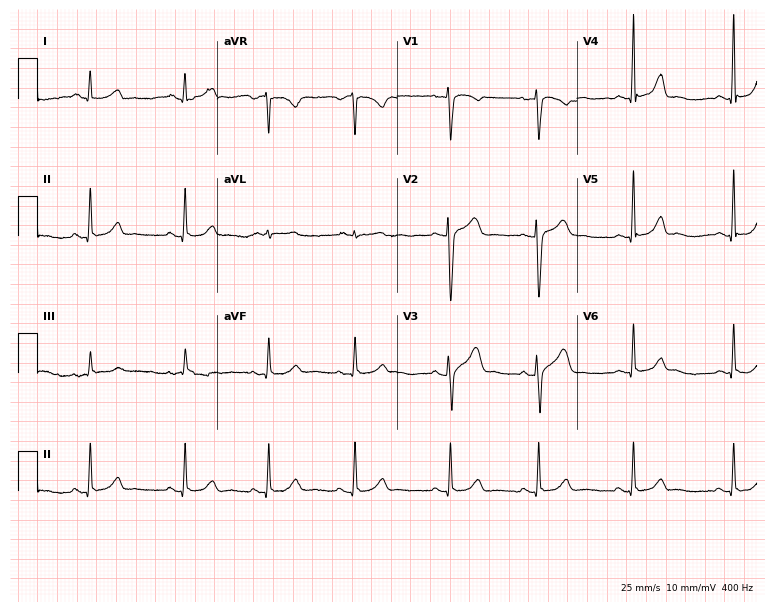
12-lead ECG from a 24-year-old female patient. Labelled as a normal ECG.